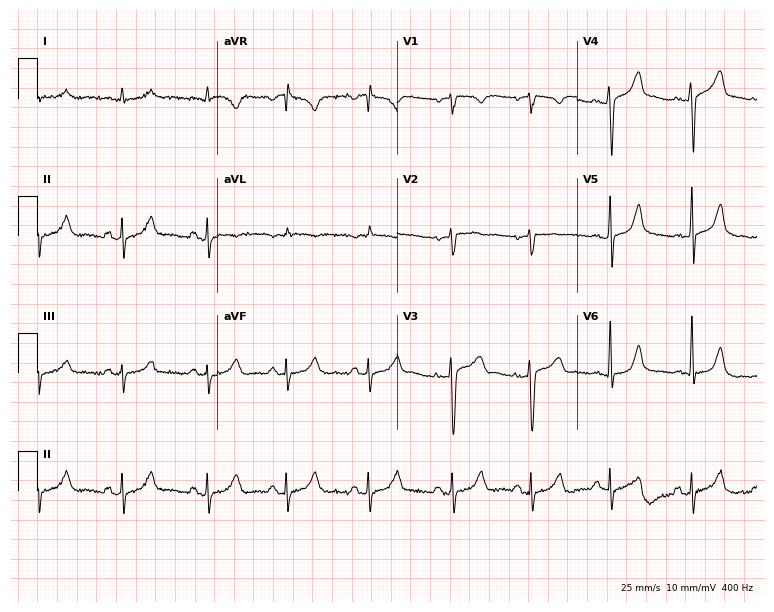
12-lead ECG from a male patient, 61 years old. Screened for six findings — first-degree AV block, right bundle branch block, left bundle branch block, sinus bradycardia, atrial fibrillation, sinus tachycardia — none is recorded.